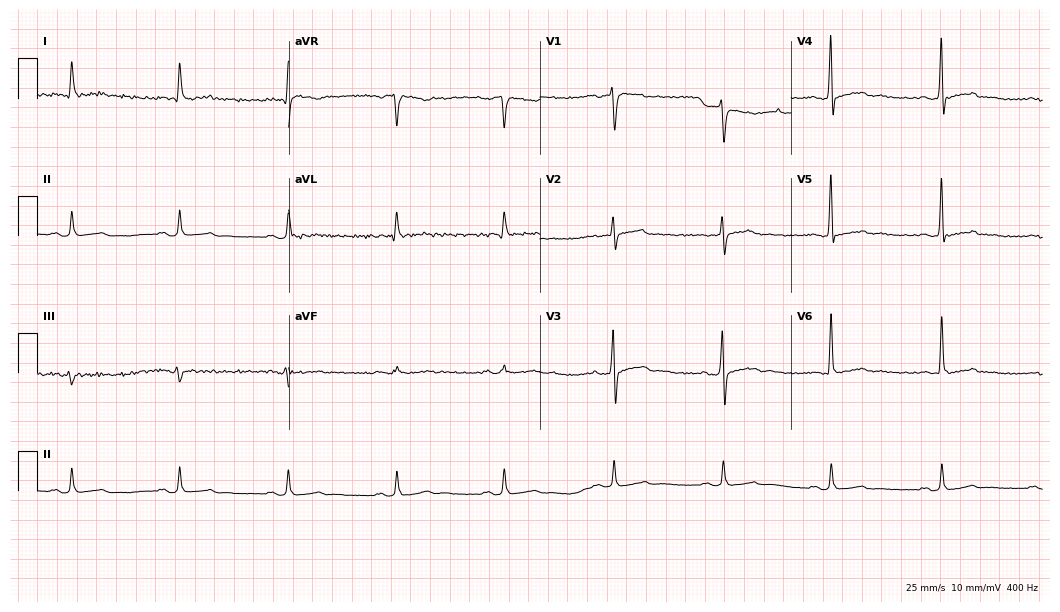
12-lead ECG from a male patient, 63 years old. No first-degree AV block, right bundle branch block (RBBB), left bundle branch block (LBBB), sinus bradycardia, atrial fibrillation (AF) or sinus tachycardia recorded for this tracing. Only these six findings were labelled.